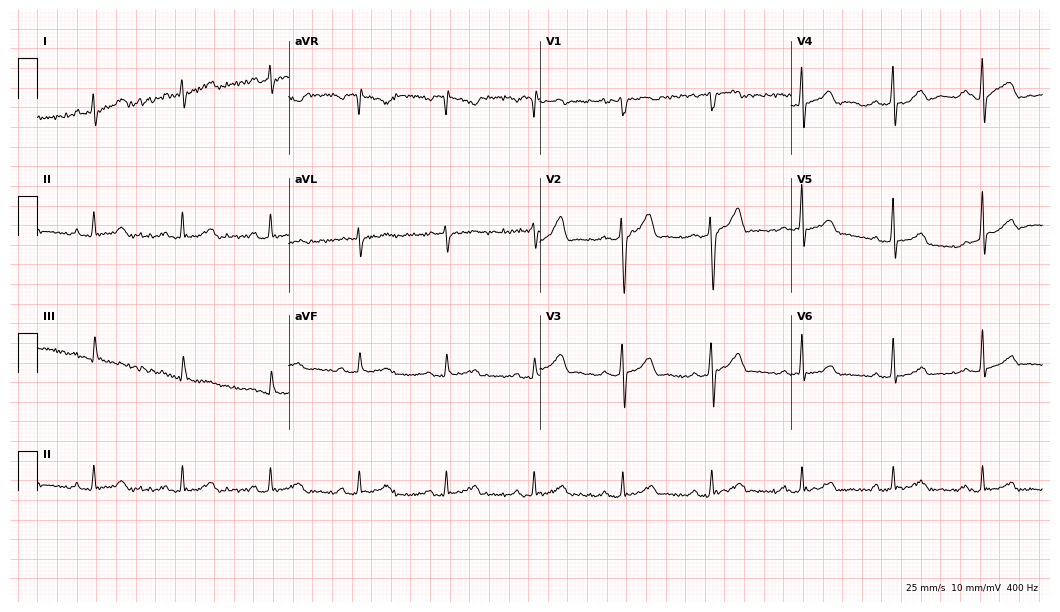
Standard 12-lead ECG recorded from a 29-year-old male patient. Read as a normal ECG.